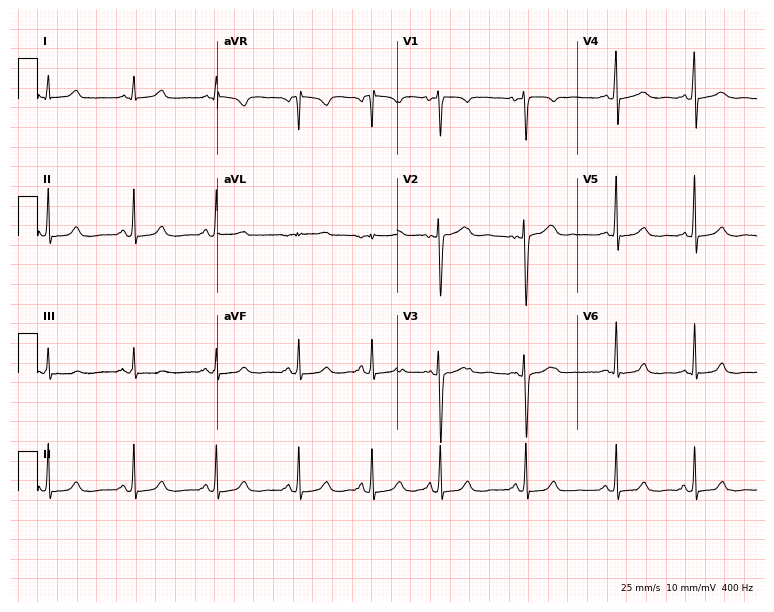
Standard 12-lead ECG recorded from a 28-year-old woman. Read as a normal ECG.